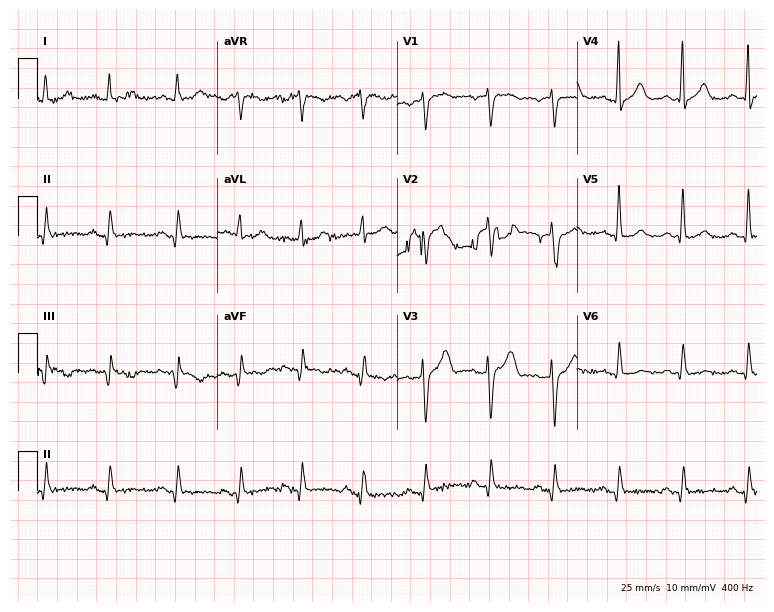
Electrocardiogram (7.3-second recording at 400 Hz), a female, 75 years old. Of the six screened findings (first-degree AV block, right bundle branch block, left bundle branch block, sinus bradycardia, atrial fibrillation, sinus tachycardia), none is recorded. Other findings, if any, are not listed.